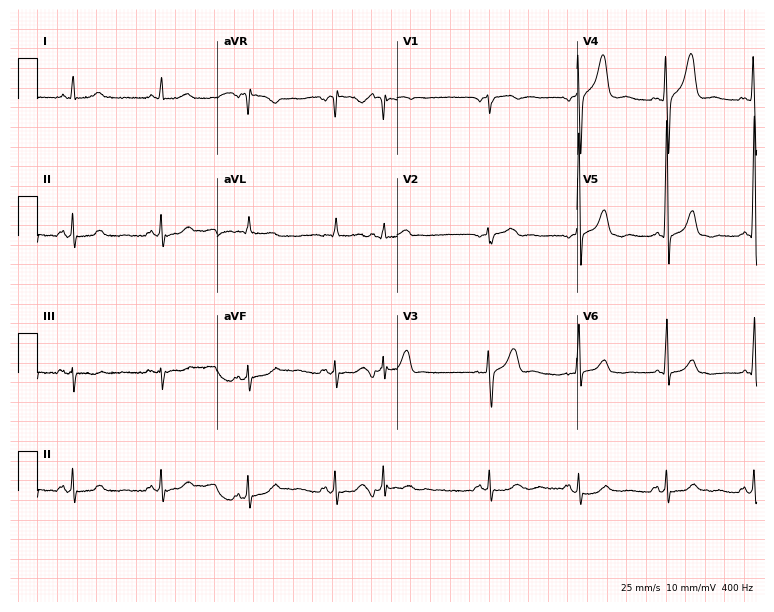
Resting 12-lead electrocardiogram. Patient: a male, 72 years old. Read as a normal ECG.